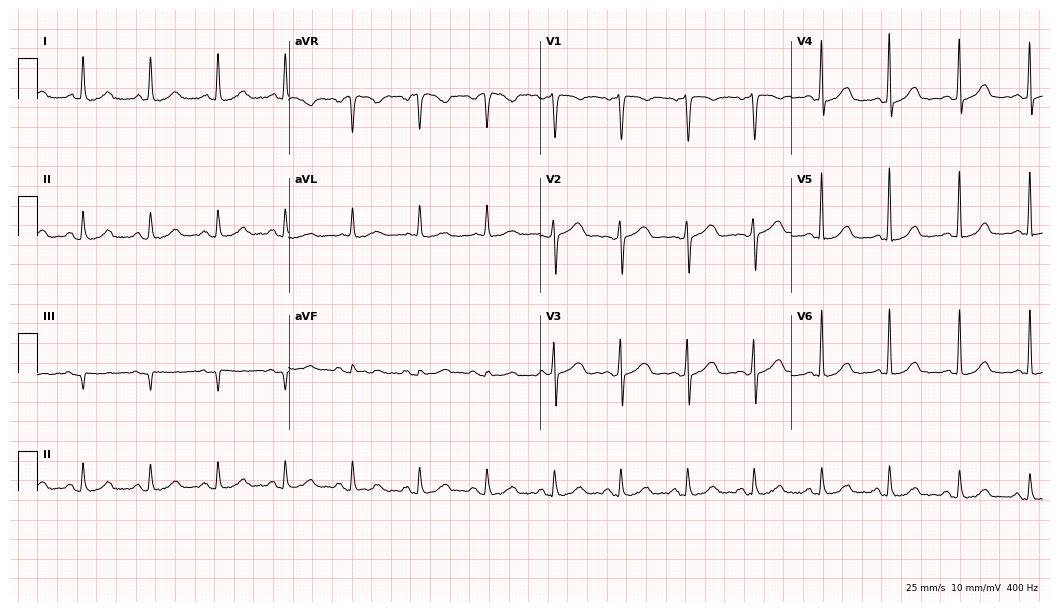
Standard 12-lead ECG recorded from a female, 65 years old. Read as a normal ECG.